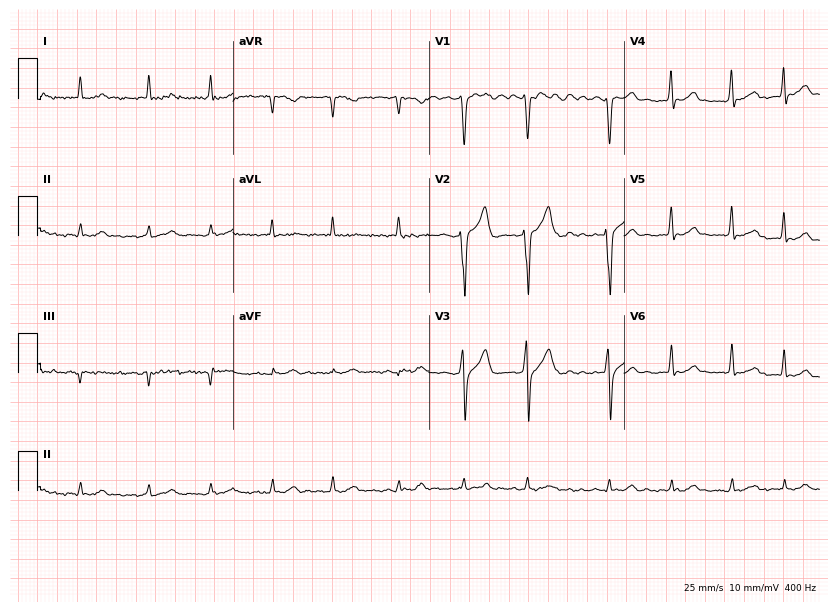
Electrocardiogram (8-second recording at 400 Hz), a 65-year-old male. Interpretation includes atrial fibrillation.